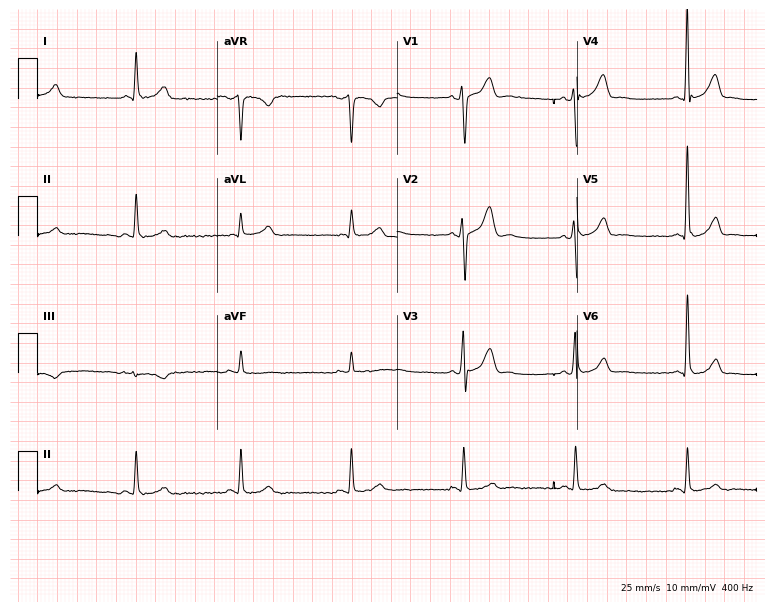
12-lead ECG (7.3-second recording at 400 Hz) from a male, 38 years old. Screened for six findings — first-degree AV block, right bundle branch block, left bundle branch block, sinus bradycardia, atrial fibrillation, sinus tachycardia — none is recorded.